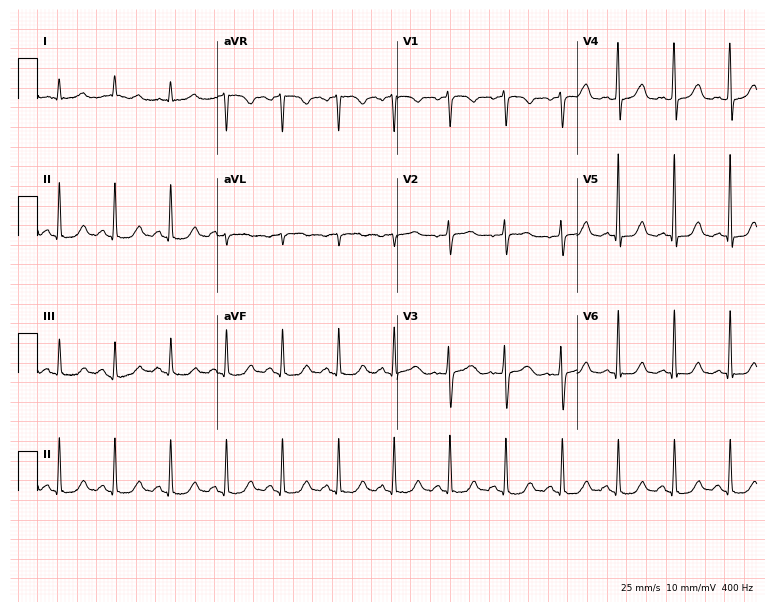
Electrocardiogram (7.3-second recording at 400 Hz), a female patient, 64 years old. Overall reading on record: normal ECG.